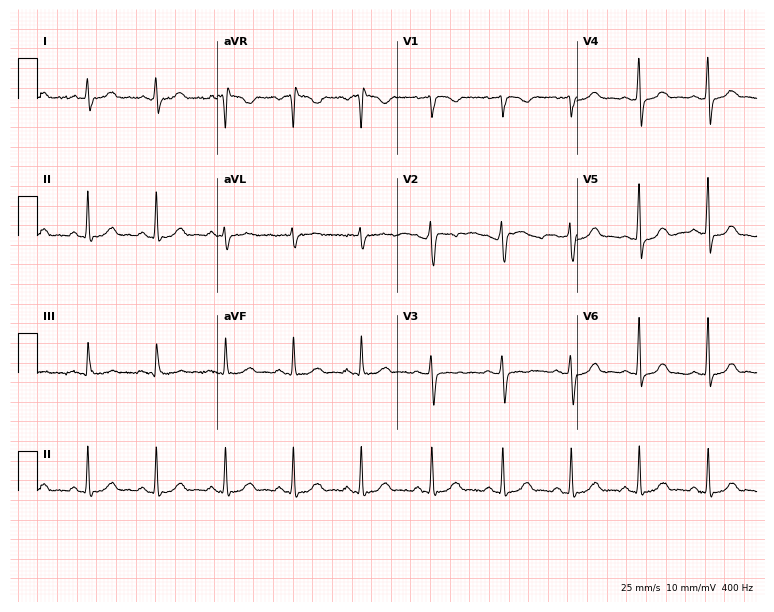
Electrocardiogram (7.3-second recording at 400 Hz), a 27-year-old woman. Overall reading on record: normal ECG.